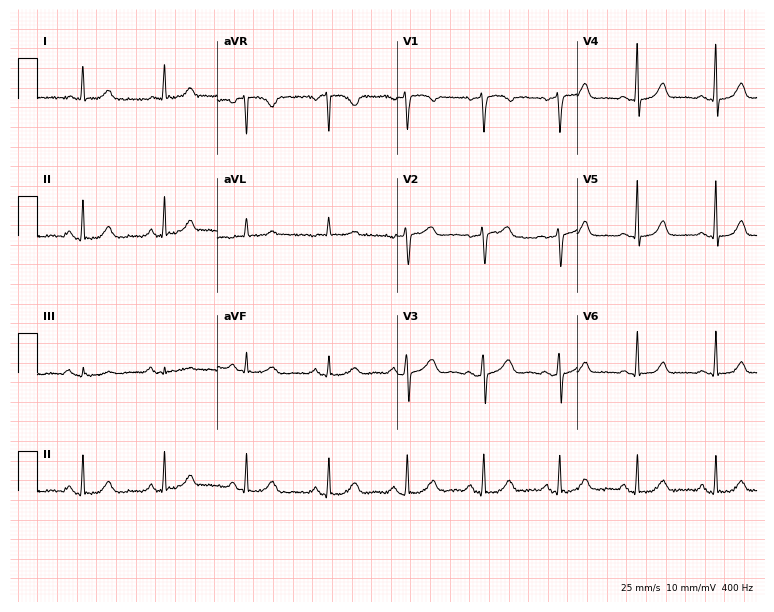
12-lead ECG from an 82-year-old male. Labelled as a normal ECG.